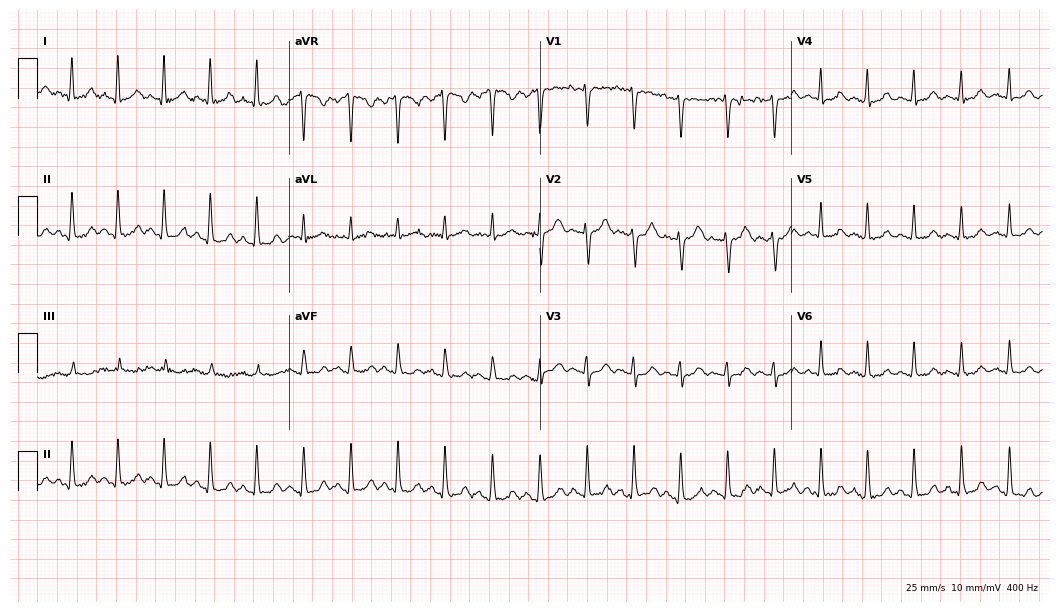
Electrocardiogram (10.2-second recording at 400 Hz), a female patient, 23 years old. Interpretation includes sinus tachycardia (a sinus rate of 100 beats per minute or more).